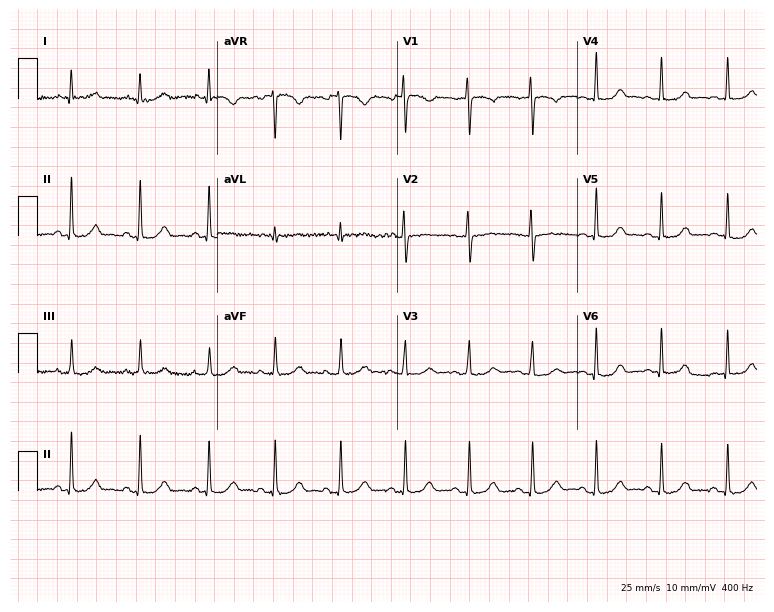
Resting 12-lead electrocardiogram (7.3-second recording at 400 Hz). Patient: a 36-year-old woman. Read as a normal ECG.